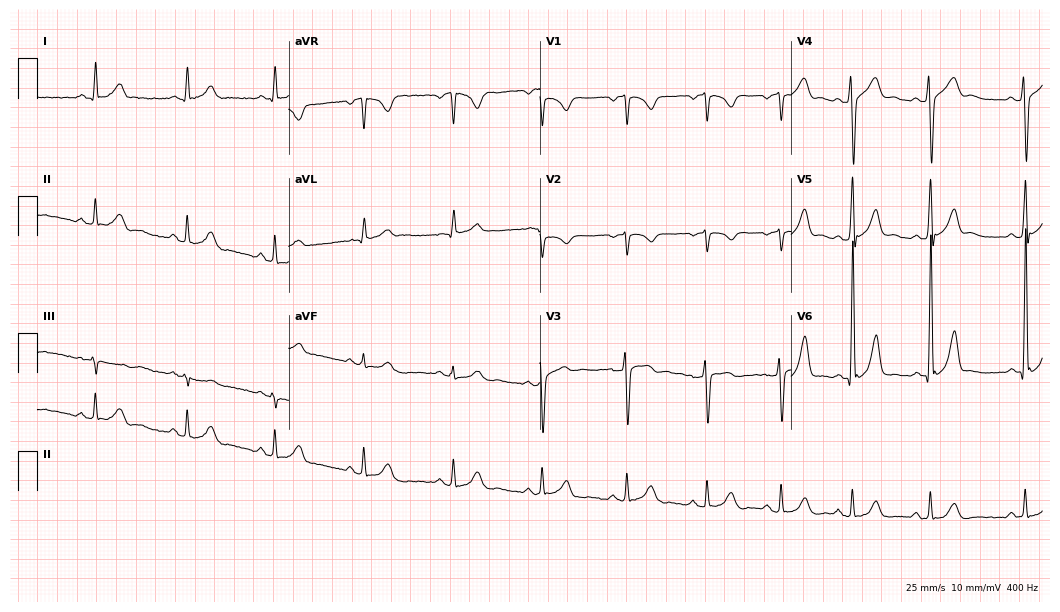
ECG (10.2-second recording at 400 Hz) — a male, 37 years old. Screened for six findings — first-degree AV block, right bundle branch block, left bundle branch block, sinus bradycardia, atrial fibrillation, sinus tachycardia — none is recorded. Other findings, if any, are not listed.